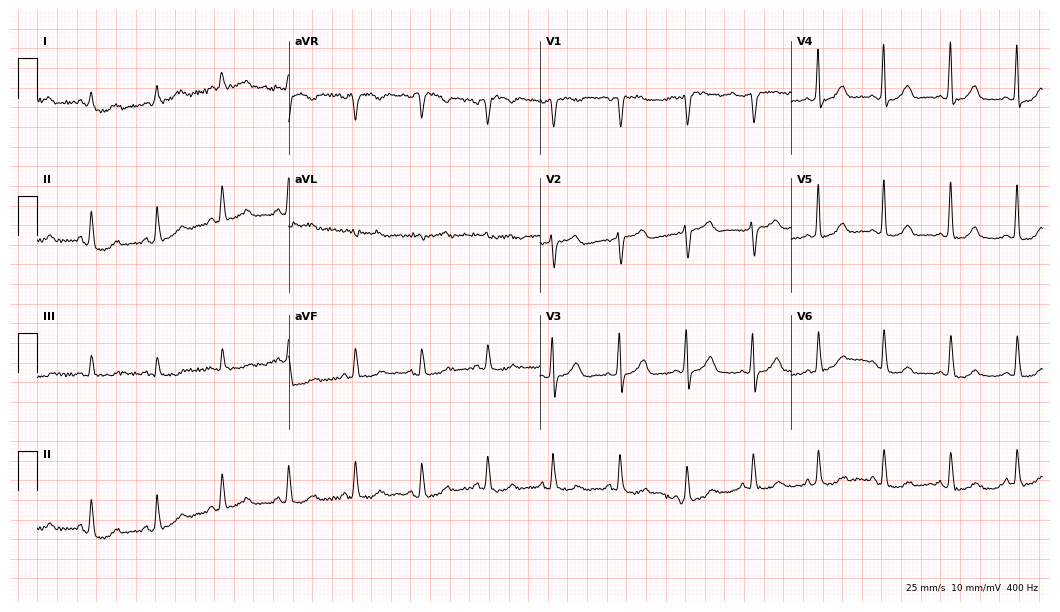
Electrocardiogram (10.2-second recording at 400 Hz), a female patient, 63 years old. Overall reading on record: normal ECG.